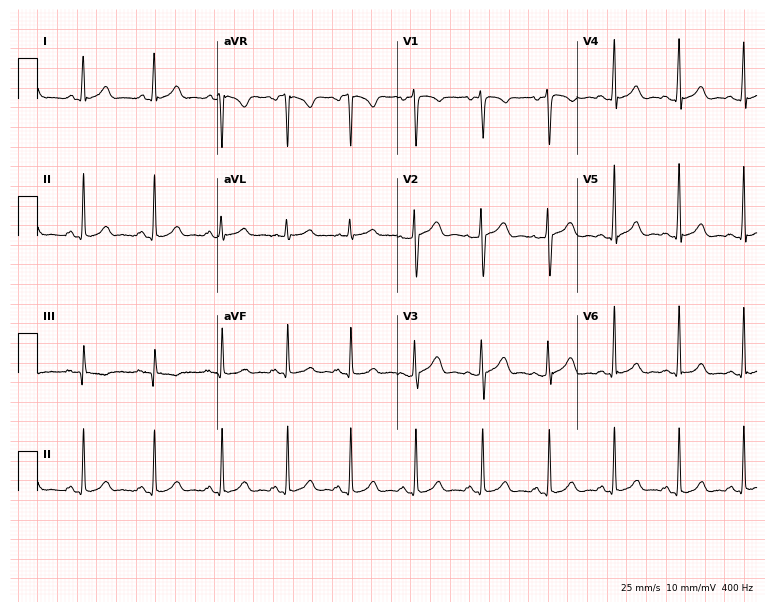
12-lead ECG from a female patient, 36 years old (7.3-second recording at 400 Hz). Recorded interpretation: within normal limits.